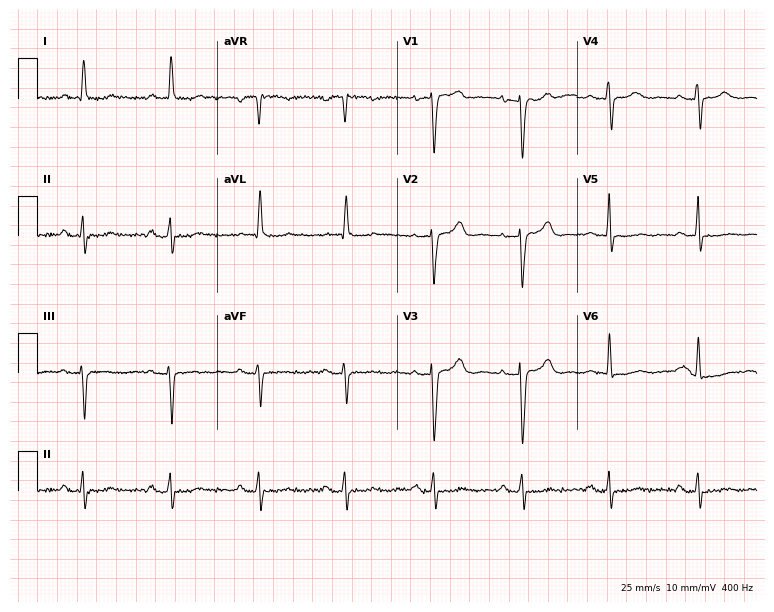
Resting 12-lead electrocardiogram. Patient: a female, 62 years old. None of these six findings is recorded: first-degree AV block, right bundle branch block, left bundle branch block, sinus bradycardia, atrial fibrillation, sinus tachycardia. Findings outside these six are not listed.